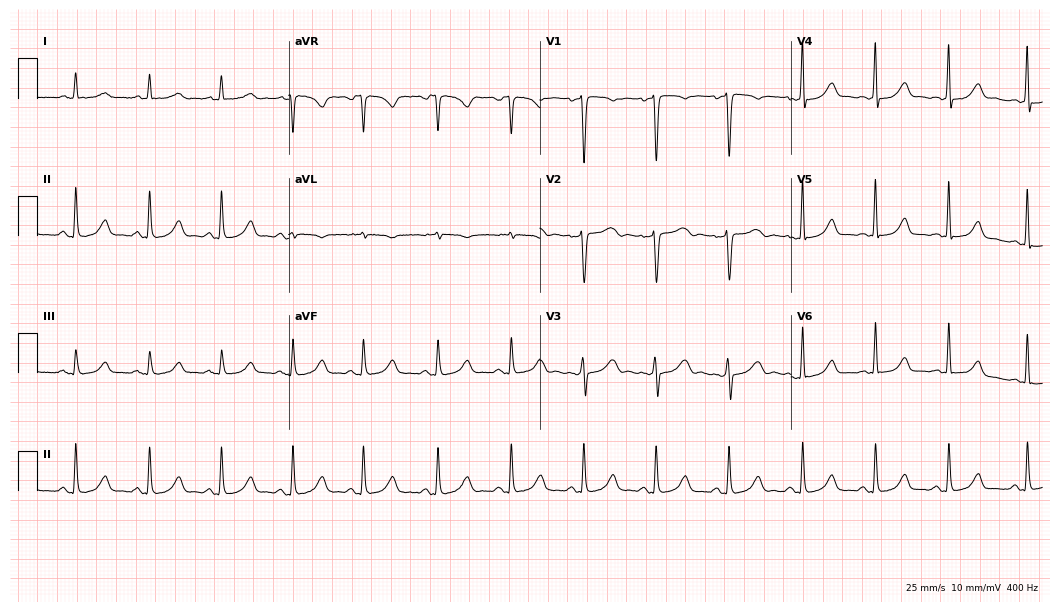
12-lead ECG from a female, 44 years old. Labelled as a normal ECG.